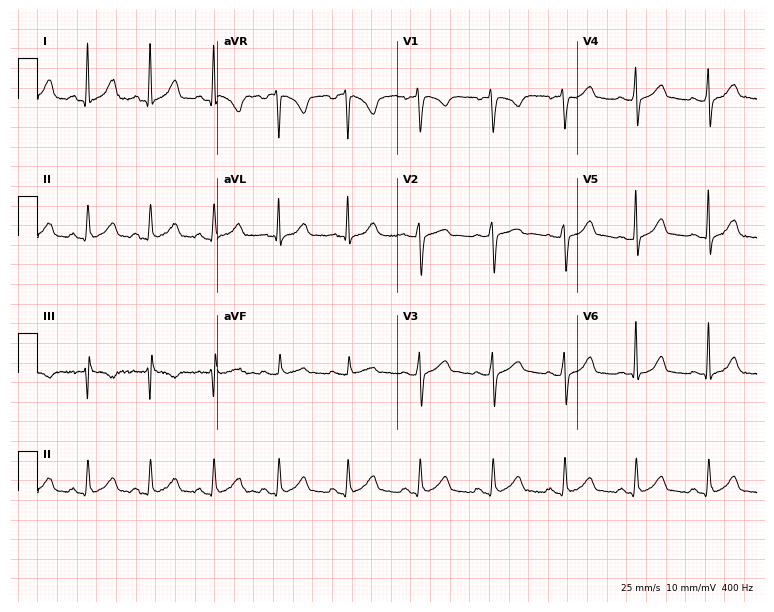
12-lead ECG from a male patient, 25 years old. No first-degree AV block, right bundle branch block (RBBB), left bundle branch block (LBBB), sinus bradycardia, atrial fibrillation (AF) or sinus tachycardia recorded for this tracing.